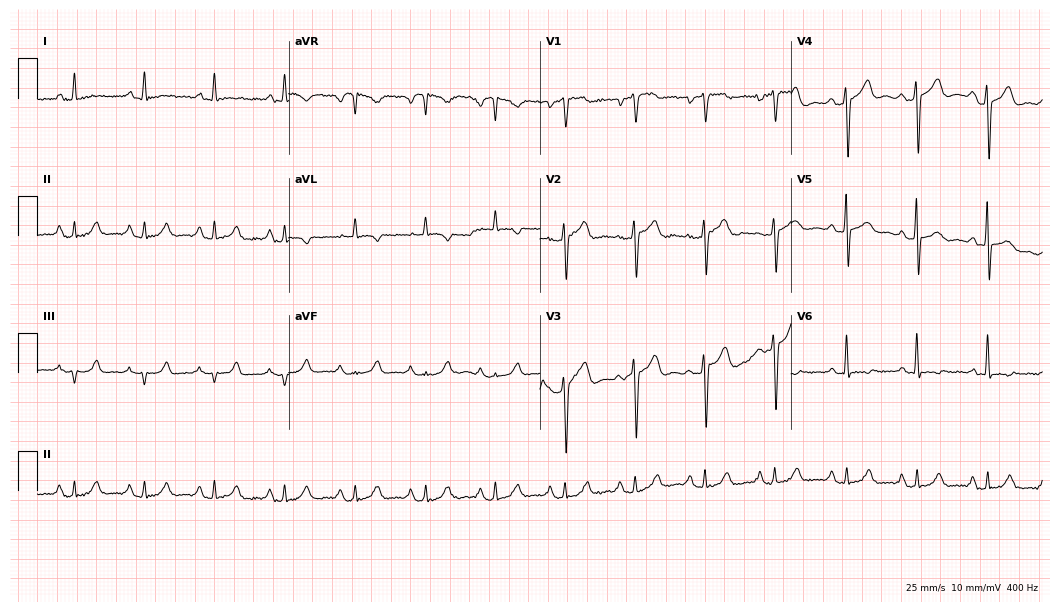
Standard 12-lead ECG recorded from an 81-year-old male patient. None of these six findings is recorded: first-degree AV block, right bundle branch block (RBBB), left bundle branch block (LBBB), sinus bradycardia, atrial fibrillation (AF), sinus tachycardia. Other findings, if any, are not listed.